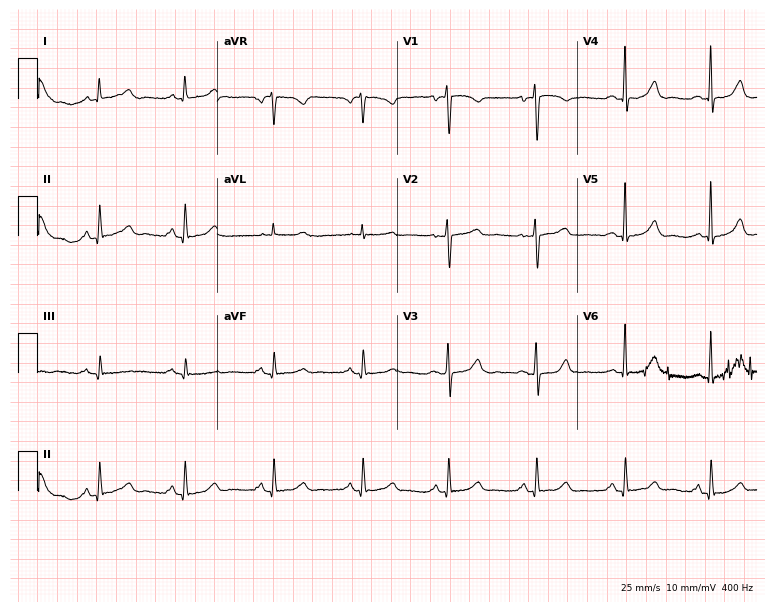
12-lead ECG from a female, 56 years old. Labelled as a normal ECG.